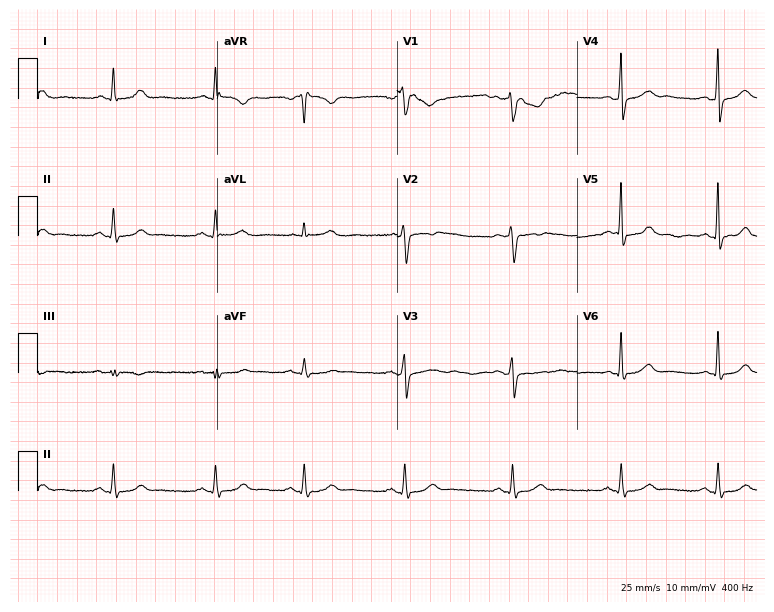
12-lead ECG from a 33-year-old woman. Labelled as a normal ECG.